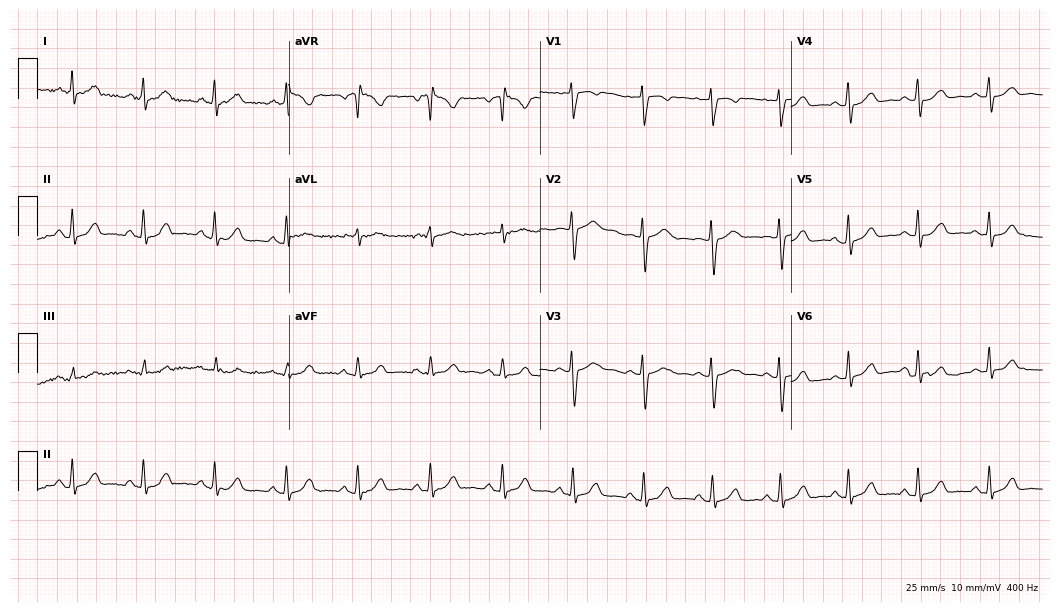
Electrocardiogram (10.2-second recording at 400 Hz), a 40-year-old female patient. Of the six screened findings (first-degree AV block, right bundle branch block, left bundle branch block, sinus bradycardia, atrial fibrillation, sinus tachycardia), none is recorded. Other findings, if any, are not listed.